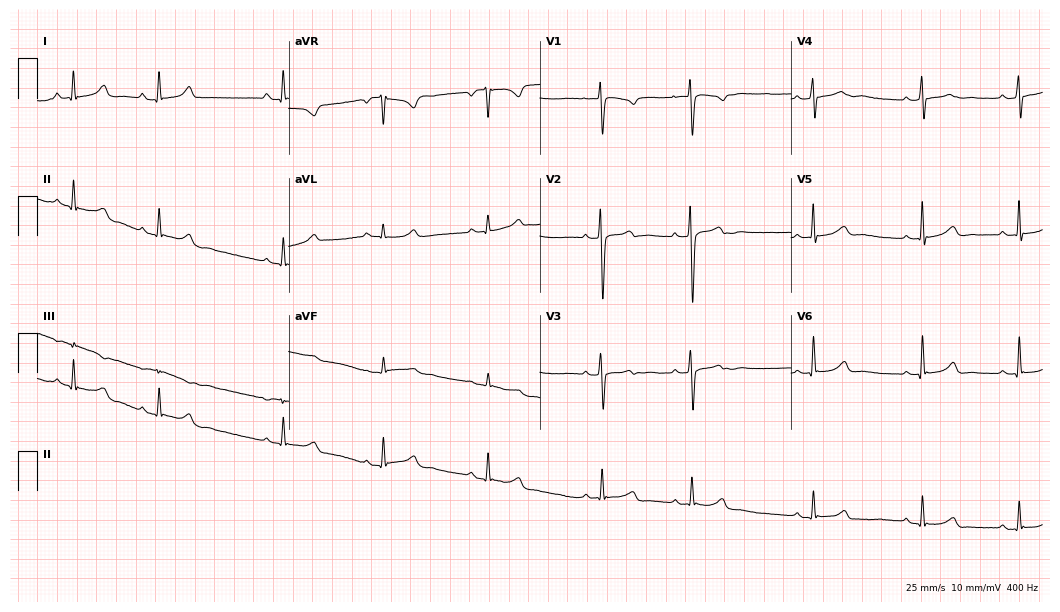
ECG (10.2-second recording at 400 Hz) — a 19-year-old female. Labelled as a normal ECG.